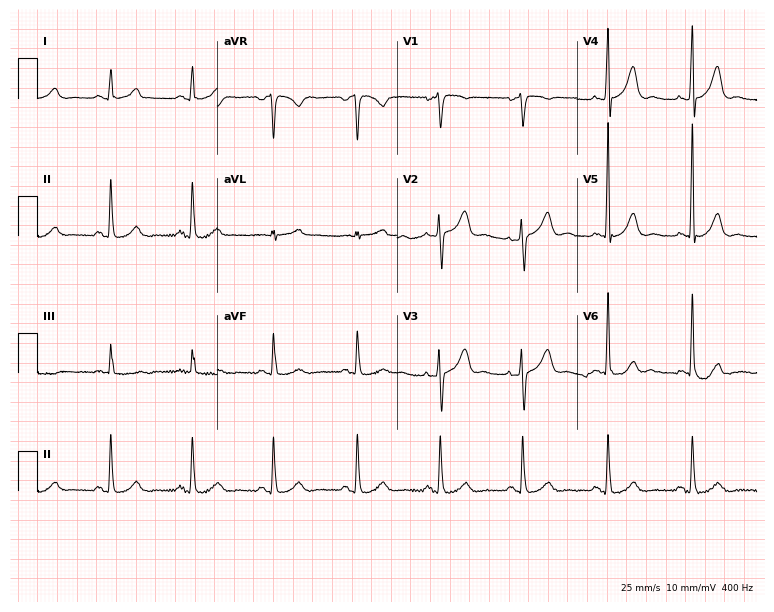
Resting 12-lead electrocardiogram (7.3-second recording at 400 Hz). Patient: a 63-year-old woman. Read as a normal ECG.